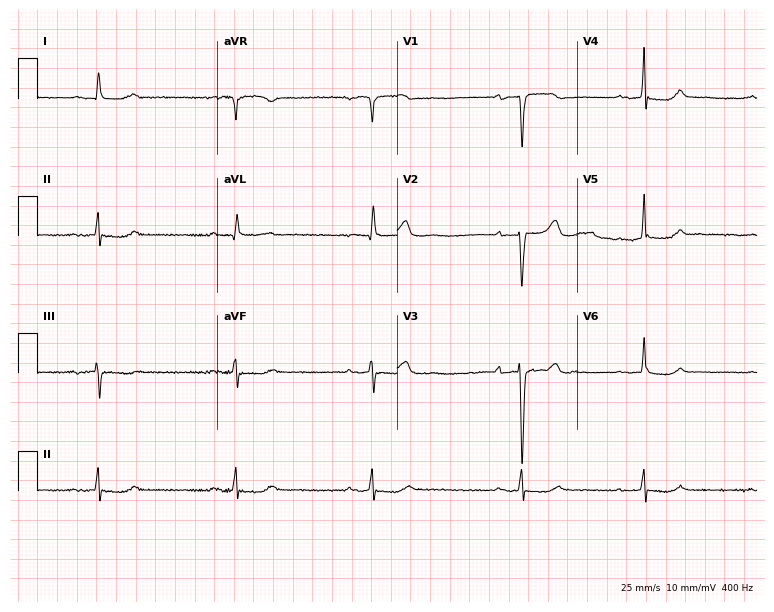
Standard 12-lead ECG recorded from an 81-year-old female patient. The tracing shows first-degree AV block, atrial fibrillation.